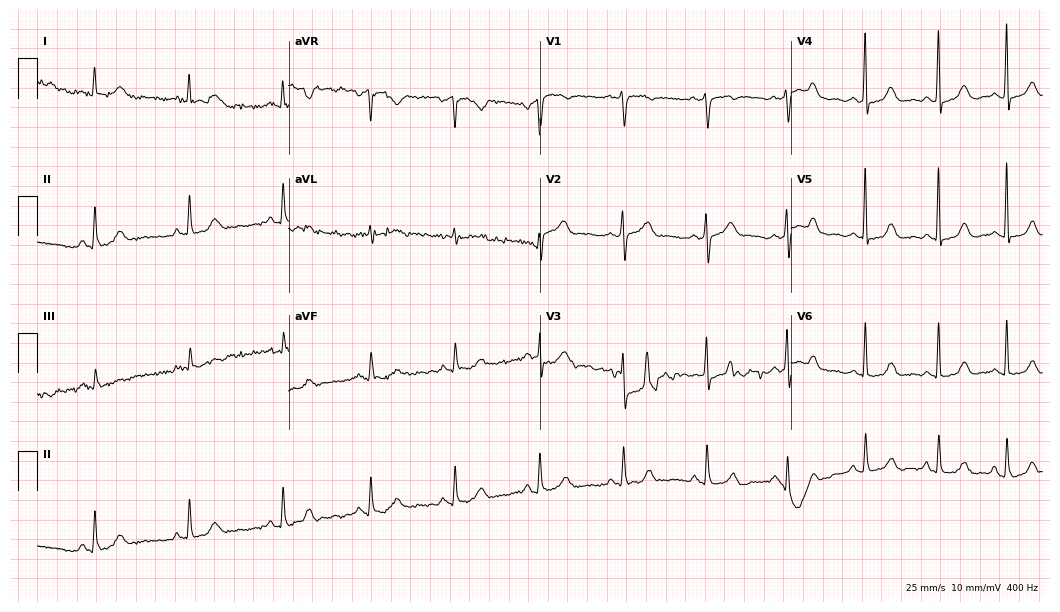
12-lead ECG from a woman, 49 years old (10.2-second recording at 400 Hz). No first-degree AV block, right bundle branch block, left bundle branch block, sinus bradycardia, atrial fibrillation or sinus tachycardia recorded for this tracing. Findings outside these six are not listed.